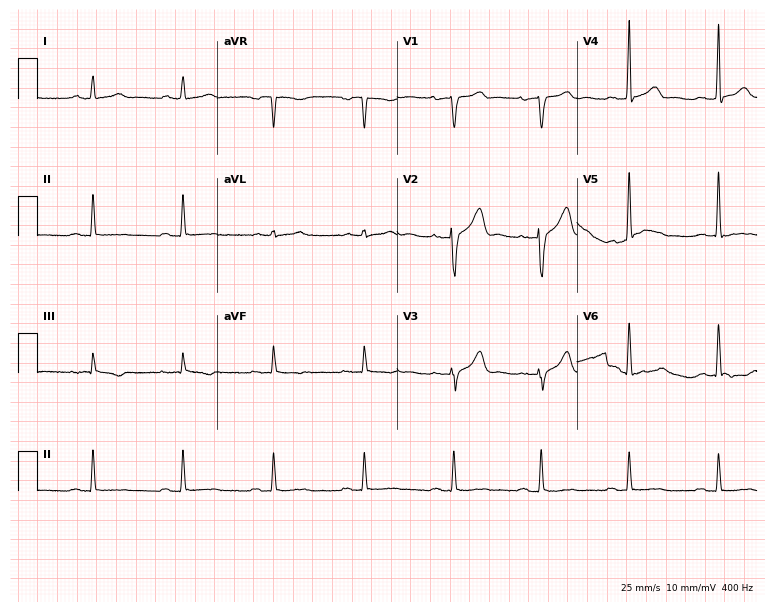
12-lead ECG from a man, 60 years old. No first-degree AV block, right bundle branch block, left bundle branch block, sinus bradycardia, atrial fibrillation or sinus tachycardia recorded for this tracing.